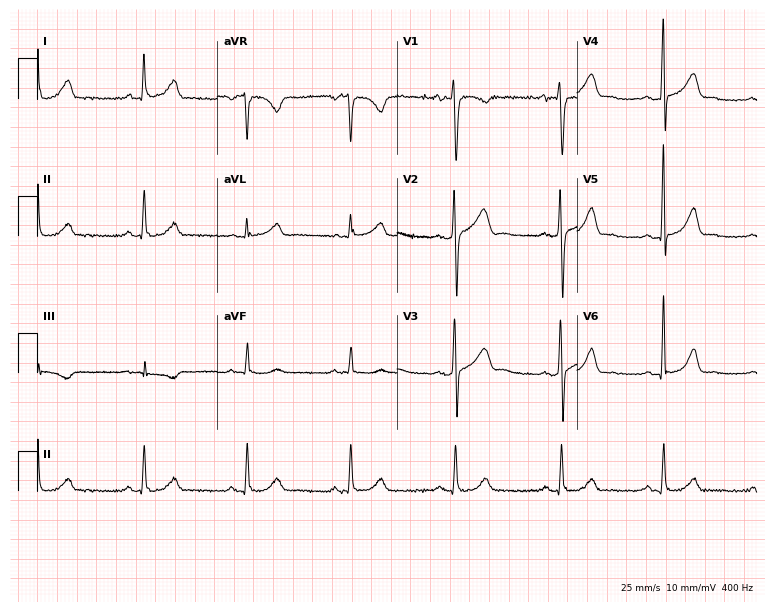
Electrocardiogram (7.3-second recording at 400 Hz), a man, 47 years old. Overall reading on record: normal ECG.